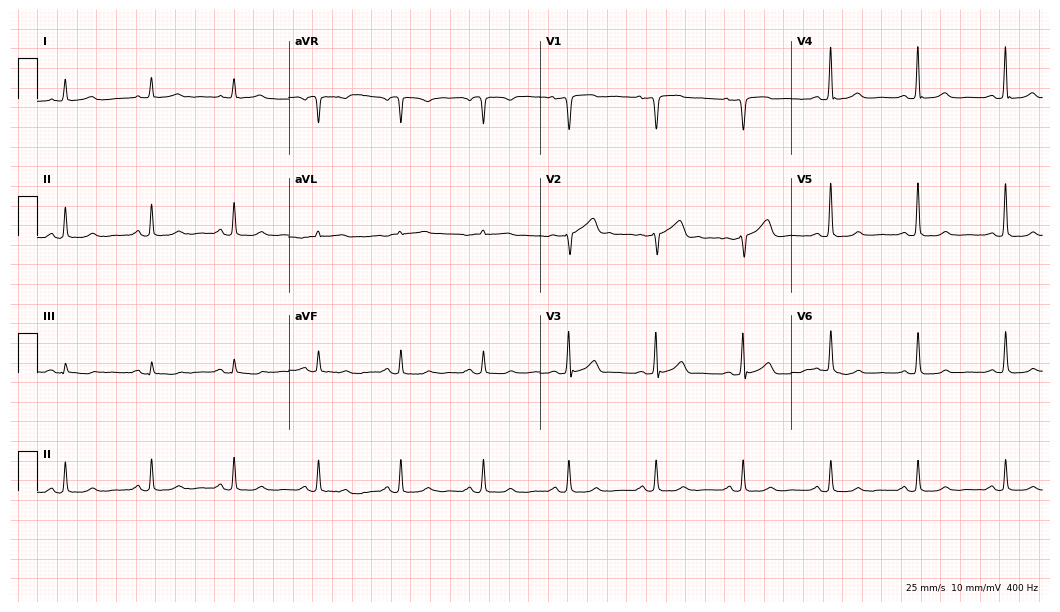
Standard 12-lead ECG recorded from a 74-year-old male (10.2-second recording at 400 Hz). None of these six findings is recorded: first-degree AV block, right bundle branch block, left bundle branch block, sinus bradycardia, atrial fibrillation, sinus tachycardia. Other findings, if any, are not listed.